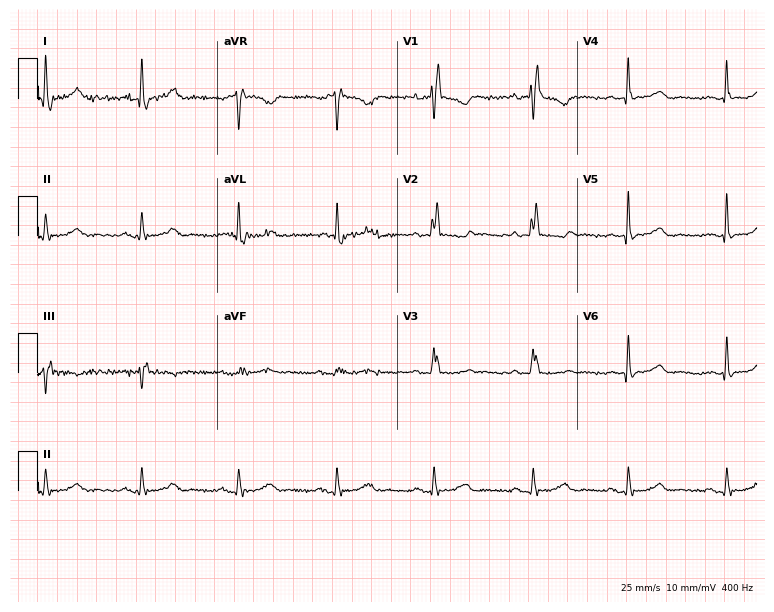
ECG (7.3-second recording at 400 Hz) — a female, 81 years old. Findings include right bundle branch block.